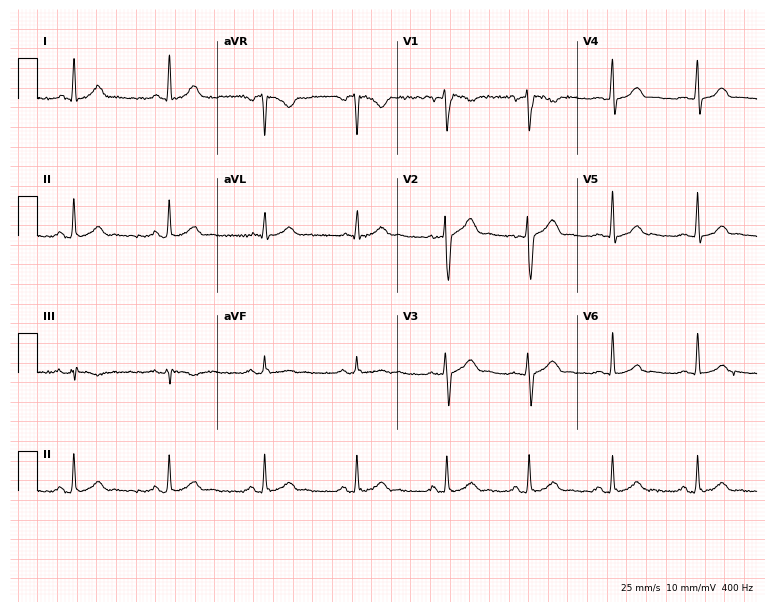
Resting 12-lead electrocardiogram. Patient: a male, 34 years old. Read as a normal ECG.